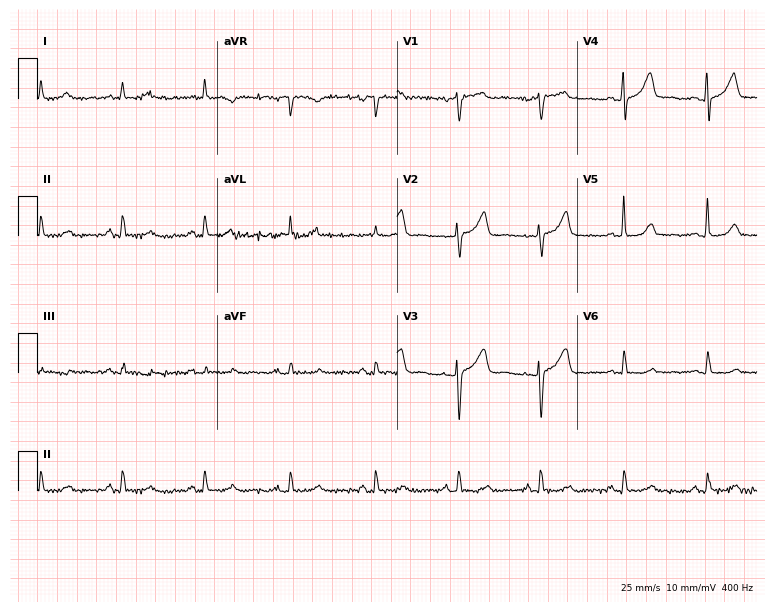
12-lead ECG from a 58-year-old female (7.3-second recording at 400 Hz). Recorded interpretation: within normal limits.